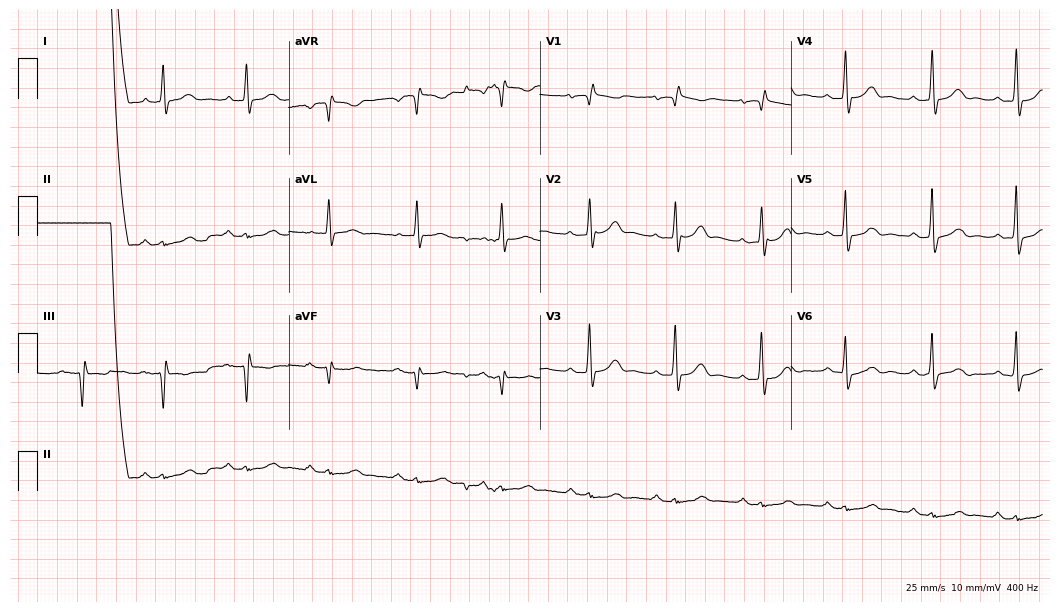
Resting 12-lead electrocardiogram. Patient: a male, 80 years old. None of these six findings is recorded: first-degree AV block, right bundle branch block, left bundle branch block, sinus bradycardia, atrial fibrillation, sinus tachycardia.